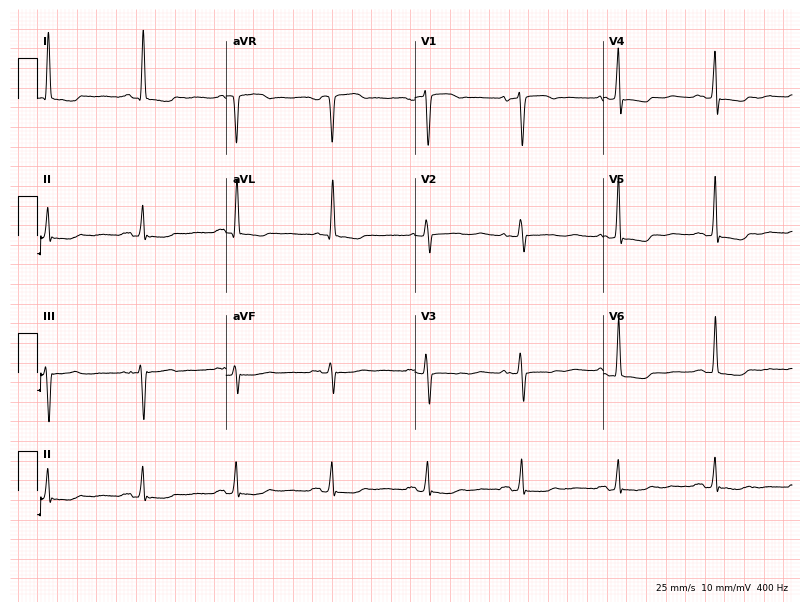
12-lead ECG from a 67-year-old woman. Screened for six findings — first-degree AV block, right bundle branch block (RBBB), left bundle branch block (LBBB), sinus bradycardia, atrial fibrillation (AF), sinus tachycardia — none is recorded. Only these six findings were labelled.